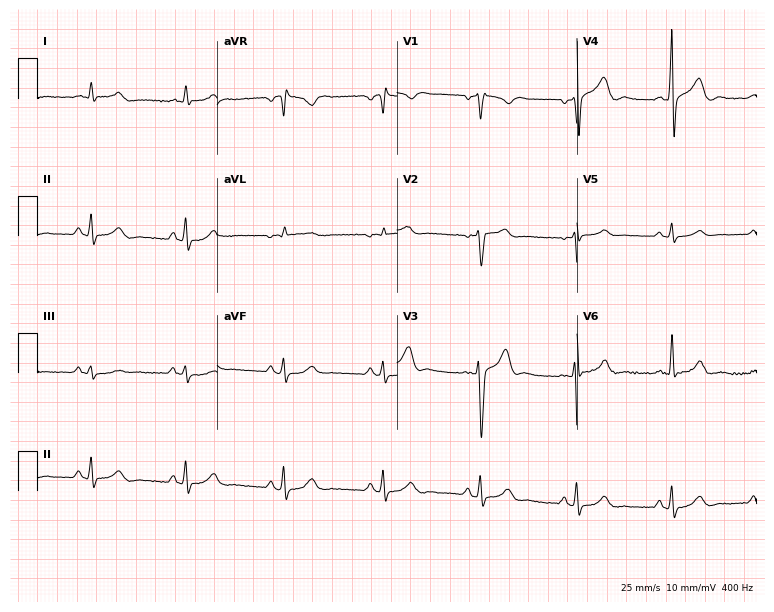
ECG — a 45-year-old male. Screened for six findings — first-degree AV block, right bundle branch block (RBBB), left bundle branch block (LBBB), sinus bradycardia, atrial fibrillation (AF), sinus tachycardia — none is recorded. Only these six findings were labelled.